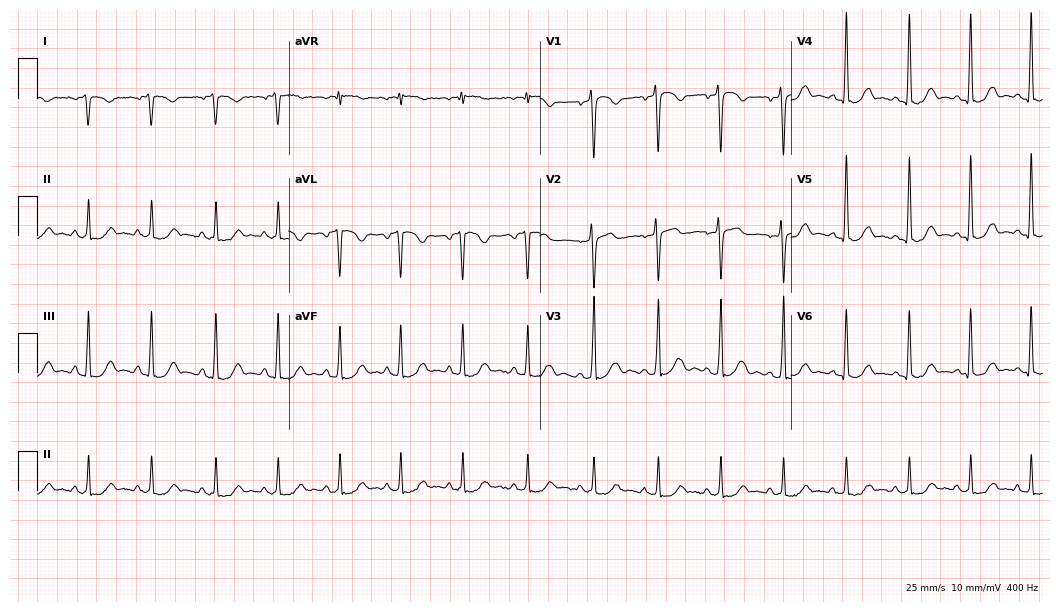
Resting 12-lead electrocardiogram (10.2-second recording at 400 Hz). Patient: a female, 28 years old. None of these six findings is recorded: first-degree AV block, right bundle branch block, left bundle branch block, sinus bradycardia, atrial fibrillation, sinus tachycardia.